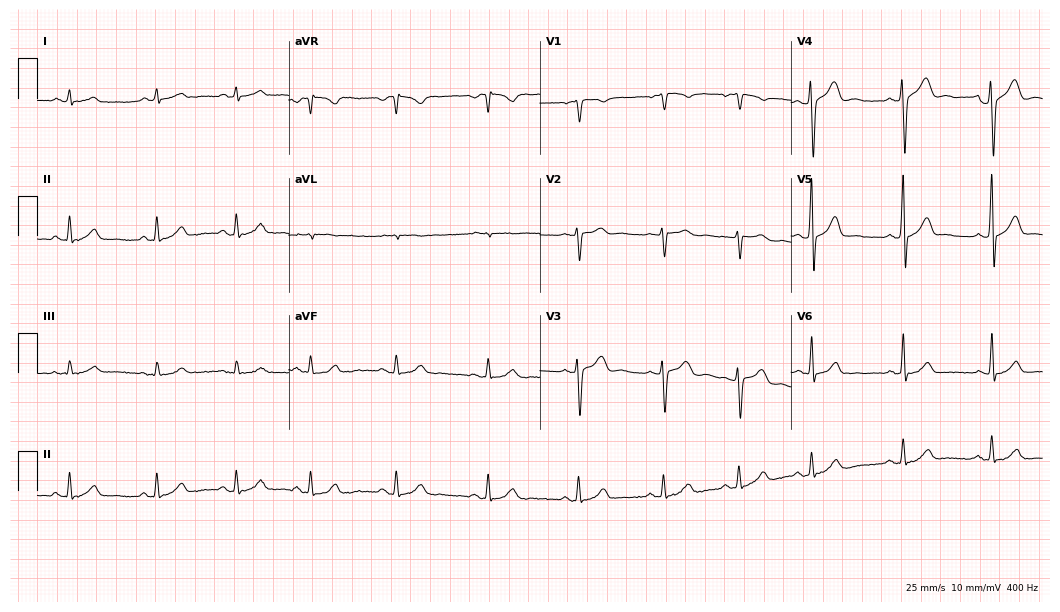
Electrocardiogram (10.2-second recording at 400 Hz), a 23-year-old man. Overall reading on record: normal ECG.